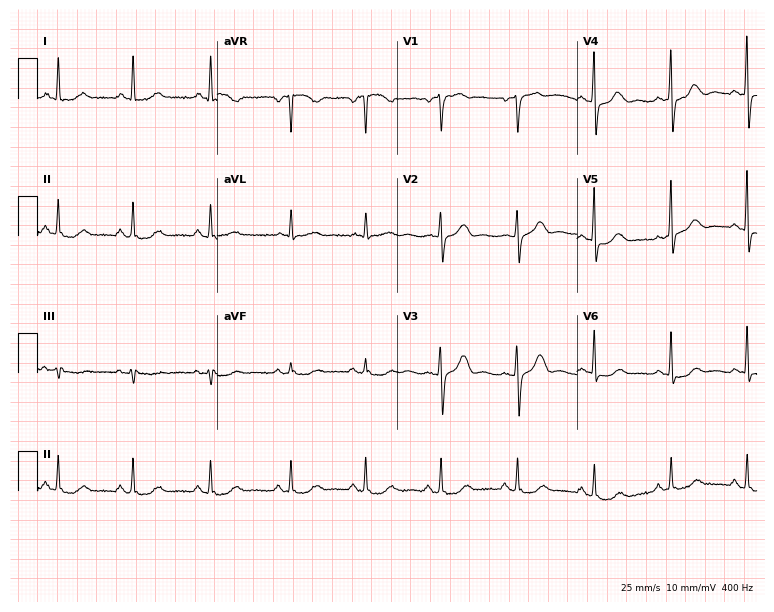
Resting 12-lead electrocardiogram (7.3-second recording at 400 Hz). Patient: a female, 56 years old. None of these six findings is recorded: first-degree AV block, right bundle branch block, left bundle branch block, sinus bradycardia, atrial fibrillation, sinus tachycardia. Only these six findings were labelled.